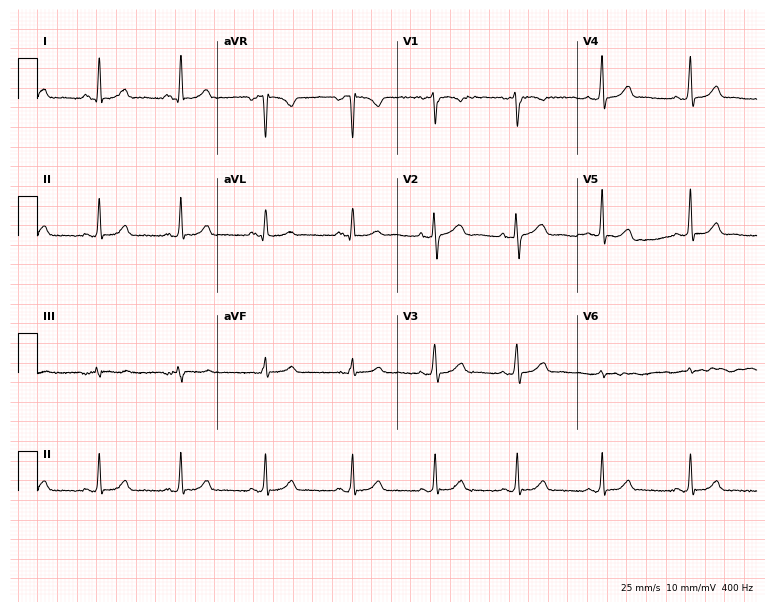
12-lead ECG (7.3-second recording at 400 Hz) from a woman, 35 years old. Labelled as a normal ECG.